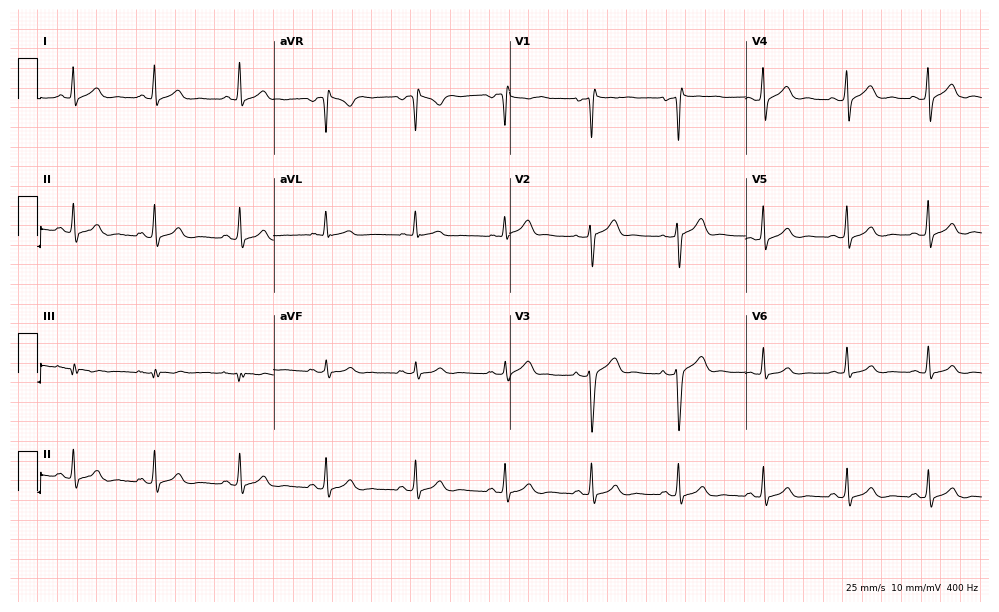
ECG — a 36-year-old male. Labelled as a normal ECG.